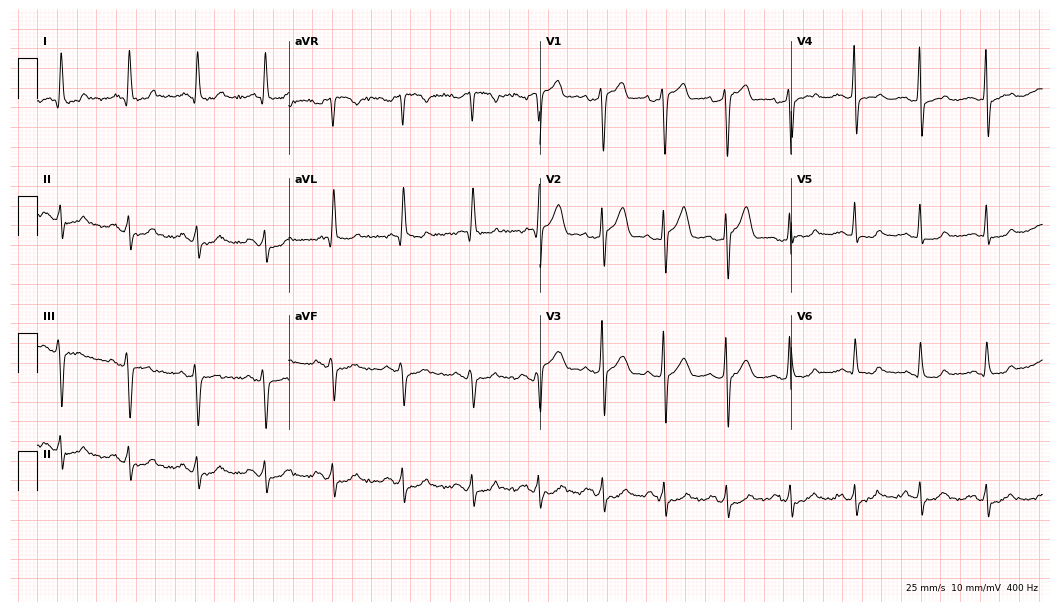
Resting 12-lead electrocardiogram. Patient: a male, 39 years old. Read as a normal ECG.